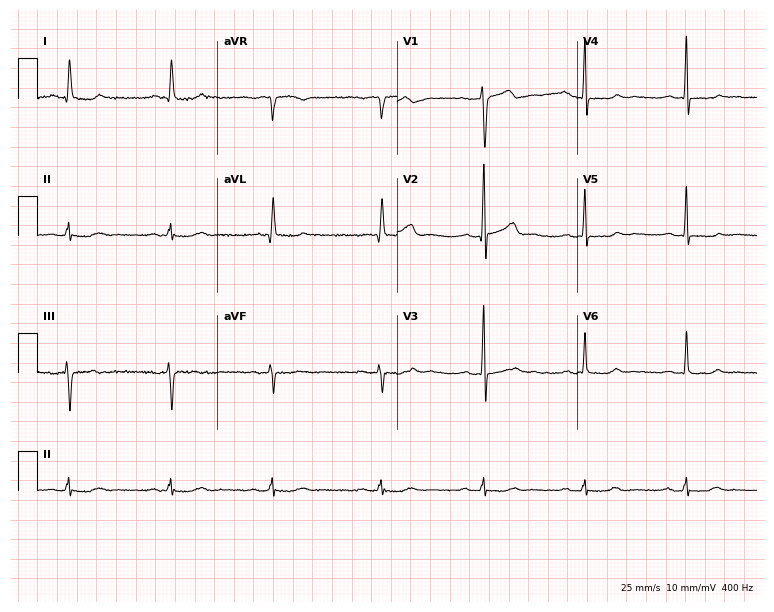
ECG — an 83-year-old male. Screened for six findings — first-degree AV block, right bundle branch block, left bundle branch block, sinus bradycardia, atrial fibrillation, sinus tachycardia — none is recorded.